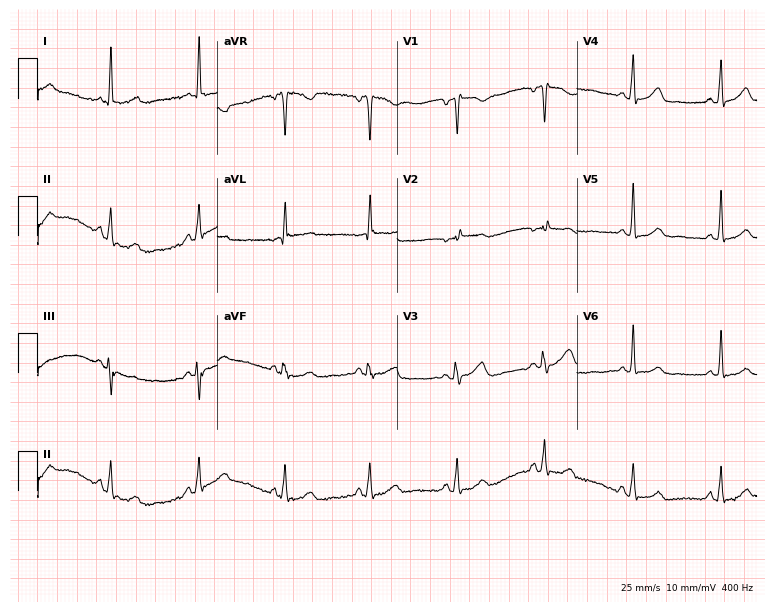
ECG — a 63-year-old woman. Labelled as a normal ECG.